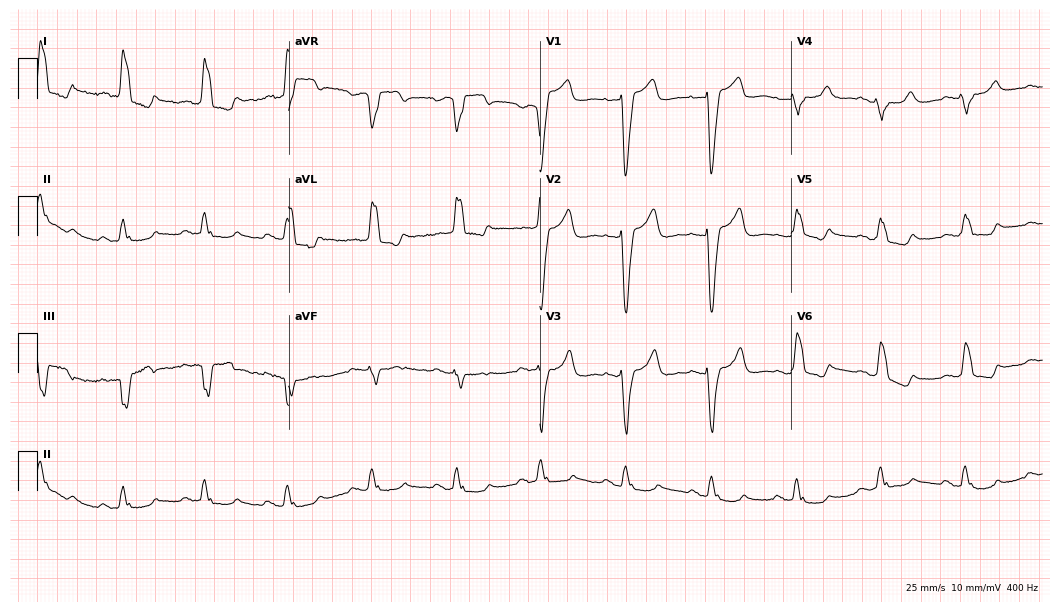
12-lead ECG from a 76-year-old female. Shows left bundle branch block (LBBB).